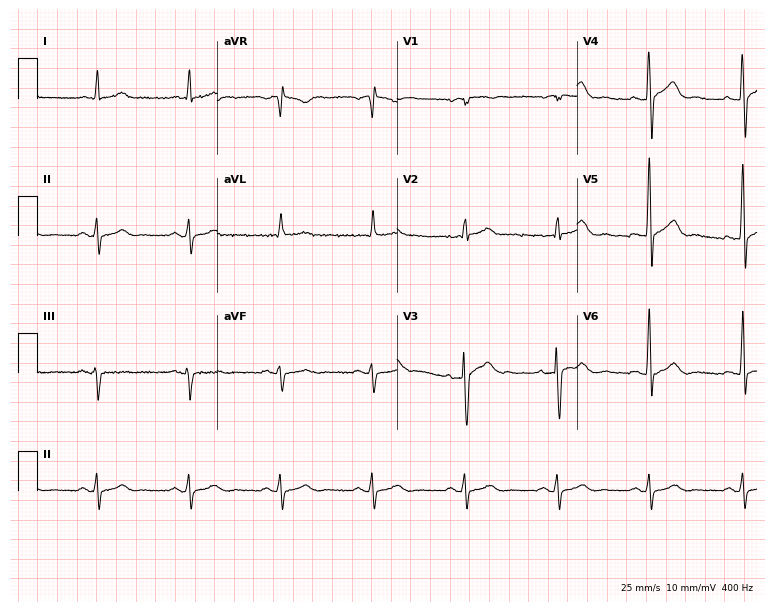
12-lead ECG from a 66-year-old male. Labelled as a normal ECG.